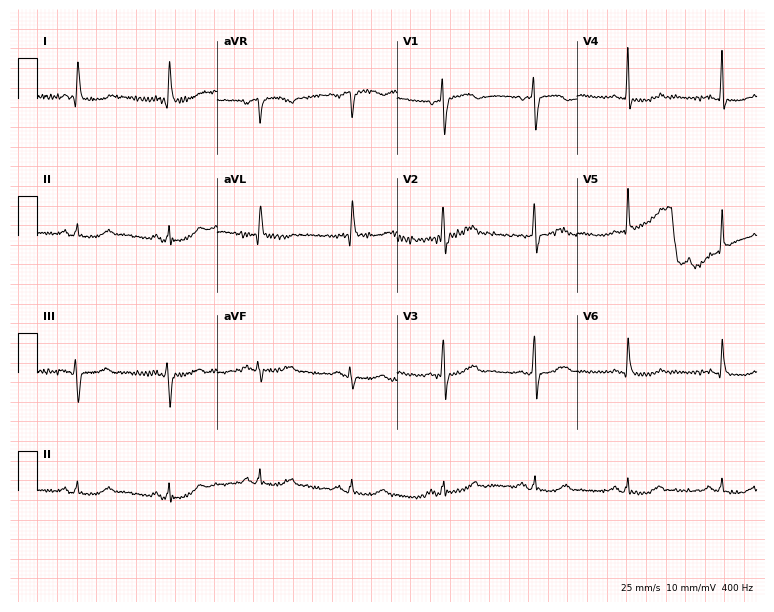
ECG (7.3-second recording at 400 Hz) — a female, 71 years old. Labelled as a normal ECG.